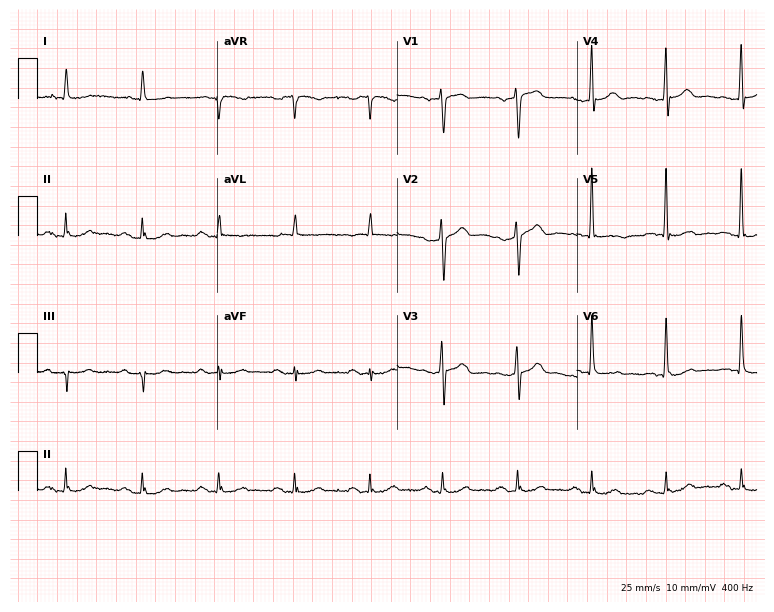
ECG — a man, 63 years old. Screened for six findings — first-degree AV block, right bundle branch block (RBBB), left bundle branch block (LBBB), sinus bradycardia, atrial fibrillation (AF), sinus tachycardia — none is recorded. Other findings, if any, are not listed.